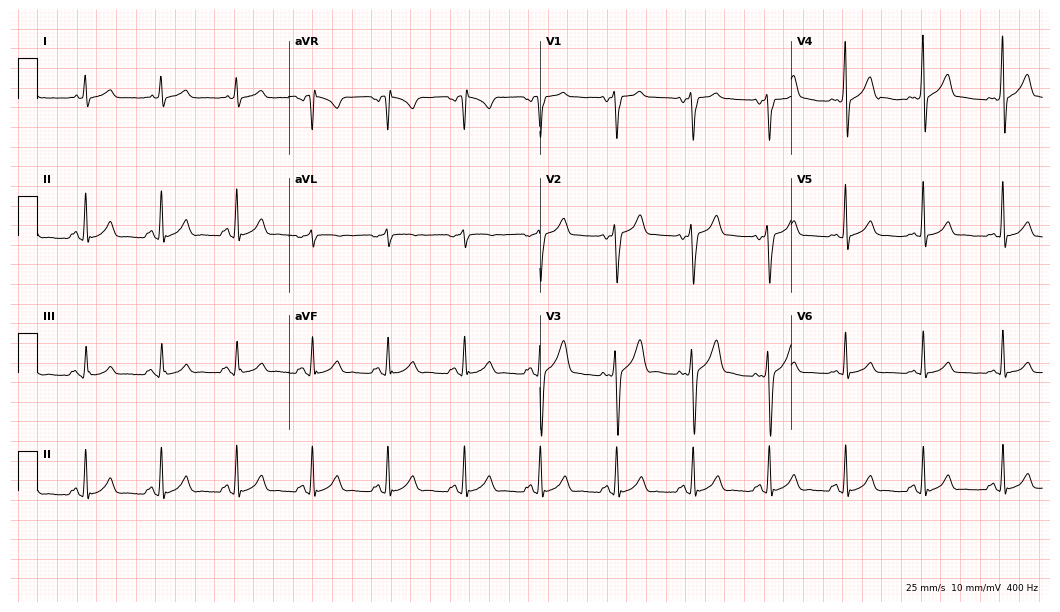
ECG (10.2-second recording at 400 Hz) — a man, 26 years old. Screened for six findings — first-degree AV block, right bundle branch block, left bundle branch block, sinus bradycardia, atrial fibrillation, sinus tachycardia — none is recorded. Other findings, if any, are not listed.